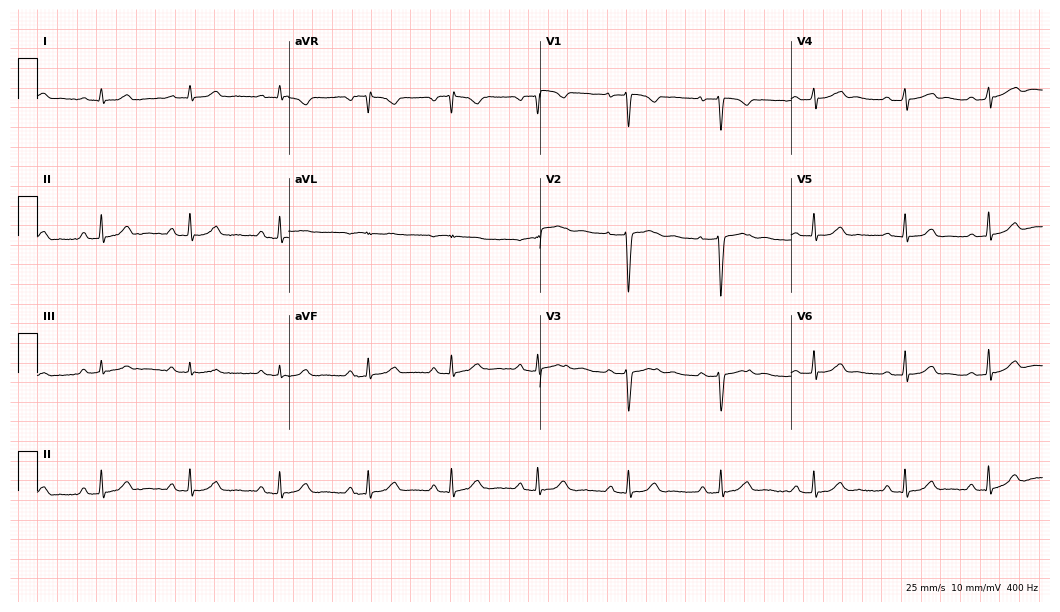
12-lead ECG (10.2-second recording at 400 Hz) from a 29-year-old woman. Screened for six findings — first-degree AV block, right bundle branch block, left bundle branch block, sinus bradycardia, atrial fibrillation, sinus tachycardia — none is recorded.